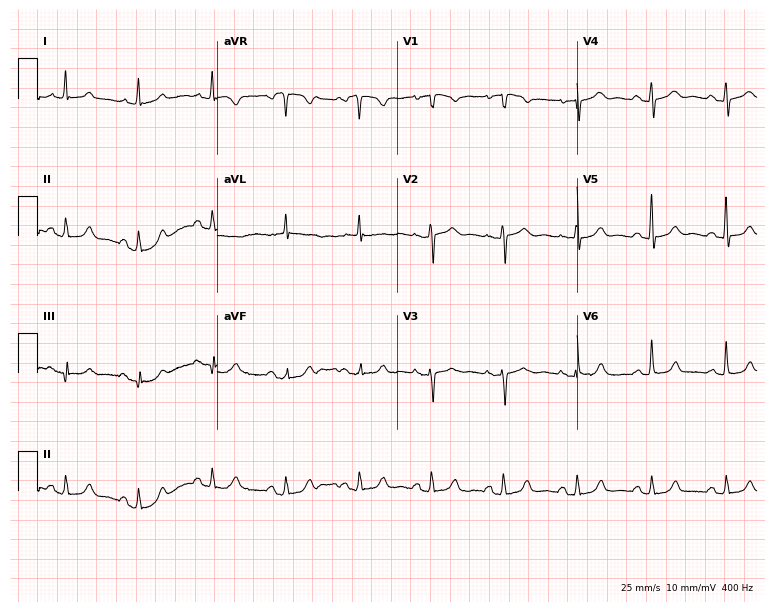
Standard 12-lead ECG recorded from a woman, 68 years old. Read as a normal ECG.